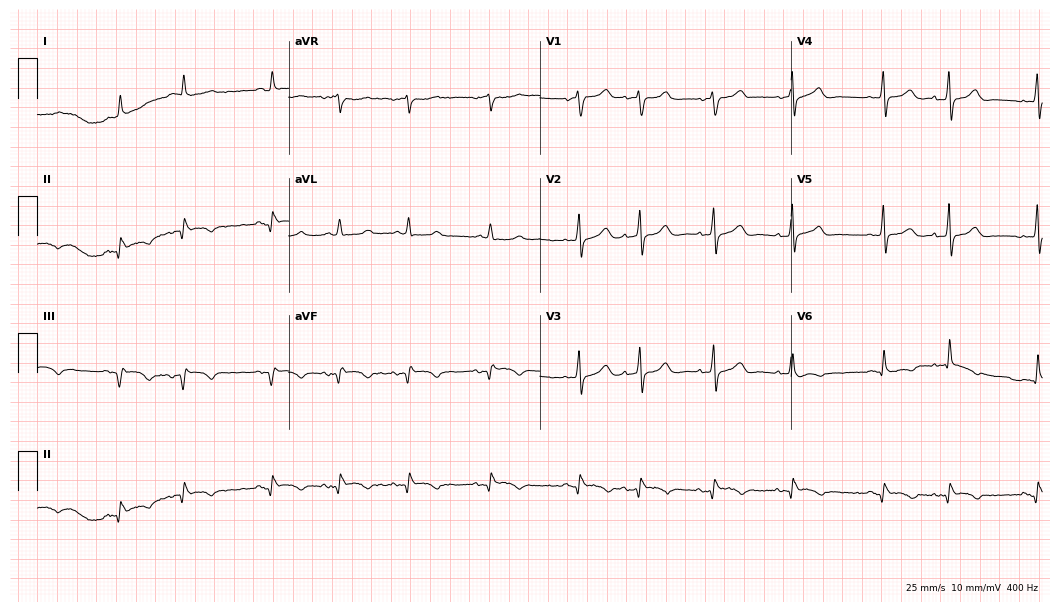
12-lead ECG from an 85-year-old man. Screened for six findings — first-degree AV block, right bundle branch block (RBBB), left bundle branch block (LBBB), sinus bradycardia, atrial fibrillation (AF), sinus tachycardia — none is recorded. Only these six findings were labelled.